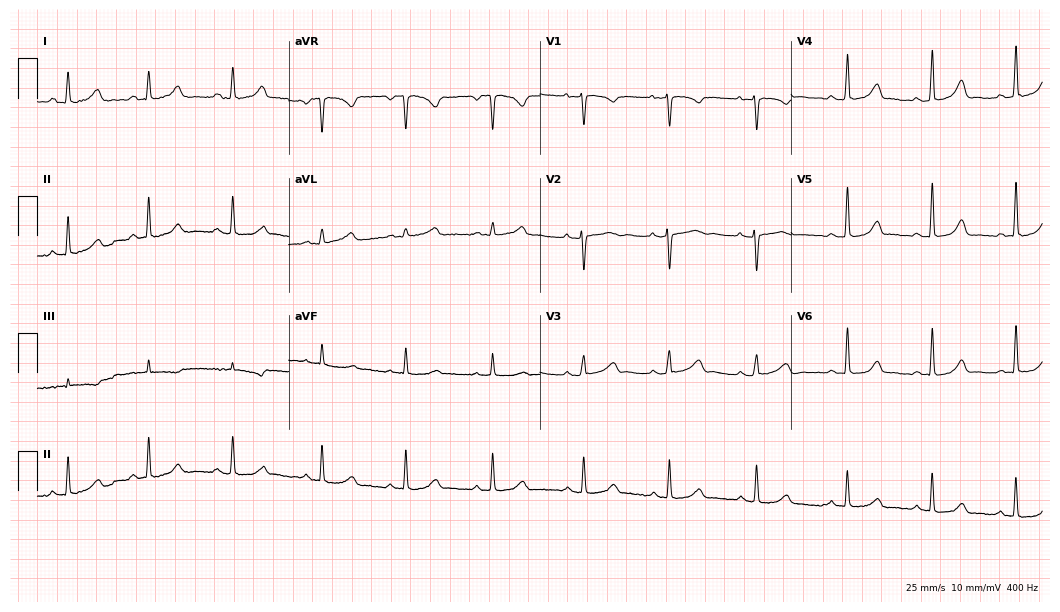
Resting 12-lead electrocardiogram (10.2-second recording at 400 Hz). Patient: a female, 31 years old. None of these six findings is recorded: first-degree AV block, right bundle branch block, left bundle branch block, sinus bradycardia, atrial fibrillation, sinus tachycardia.